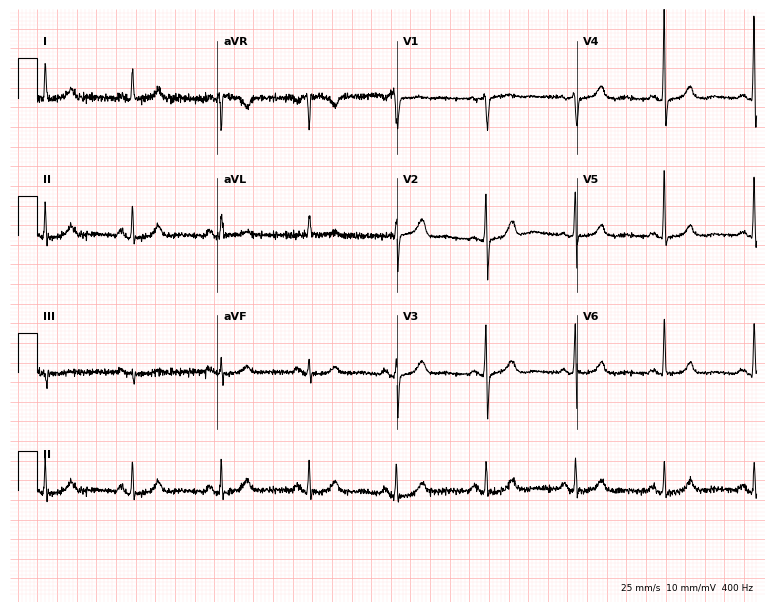
Resting 12-lead electrocardiogram (7.3-second recording at 400 Hz). Patient: a female, 79 years old. Read as a normal ECG.